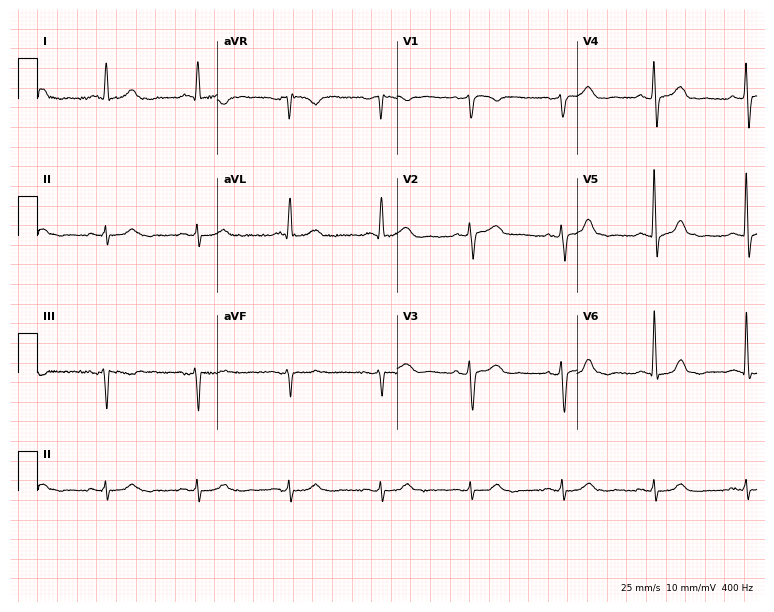
12-lead ECG from a male, 77 years old (7.3-second recording at 400 Hz). No first-degree AV block, right bundle branch block, left bundle branch block, sinus bradycardia, atrial fibrillation or sinus tachycardia recorded for this tracing.